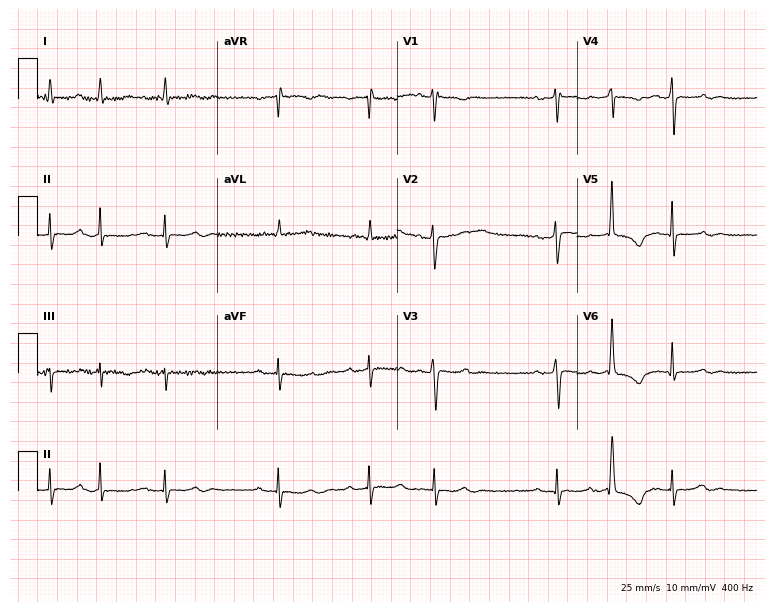
Resting 12-lead electrocardiogram (7.3-second recording at 400 Hz). Patient: a female, 61 years old. None of these six findings is recorded: first-degree AV block, right bundle branch block (RBBB), left bundle branch block (LBBB), sinus bradycardia, atrial fibrillation (AF), sinus tachycardia. Only these six findings were labelled.